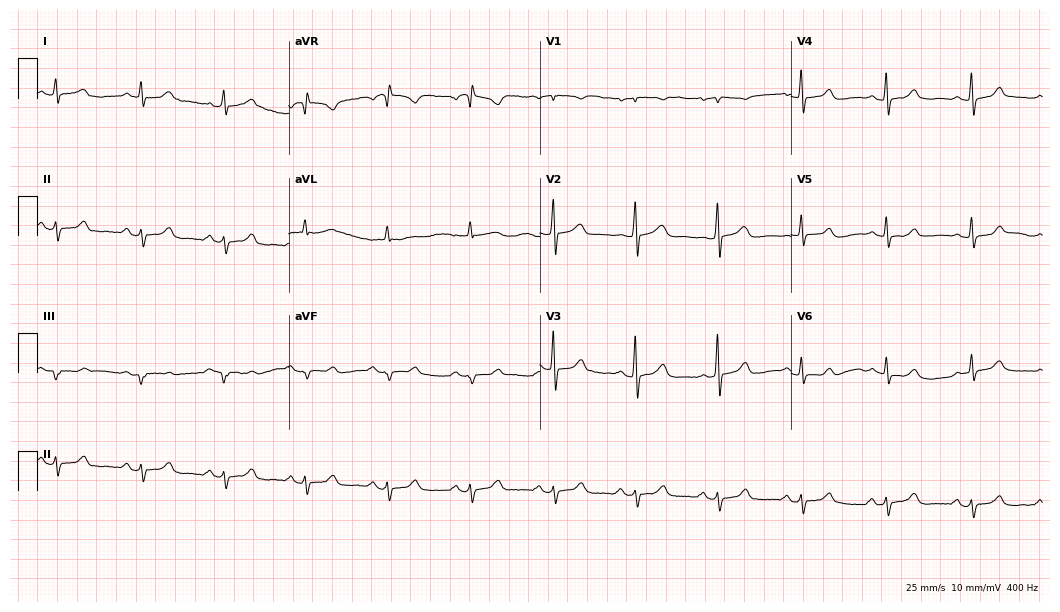
12-lead ECG from a 55-year-old woman (10.2-second recording at 400 Hz). No first-degree AV block, right bundle branch block (RBBB), left bundle branch block (LBBB), sinus bradycardia, atrial fibrillation (AF) or sinus tachycardia recorded for this tracing.